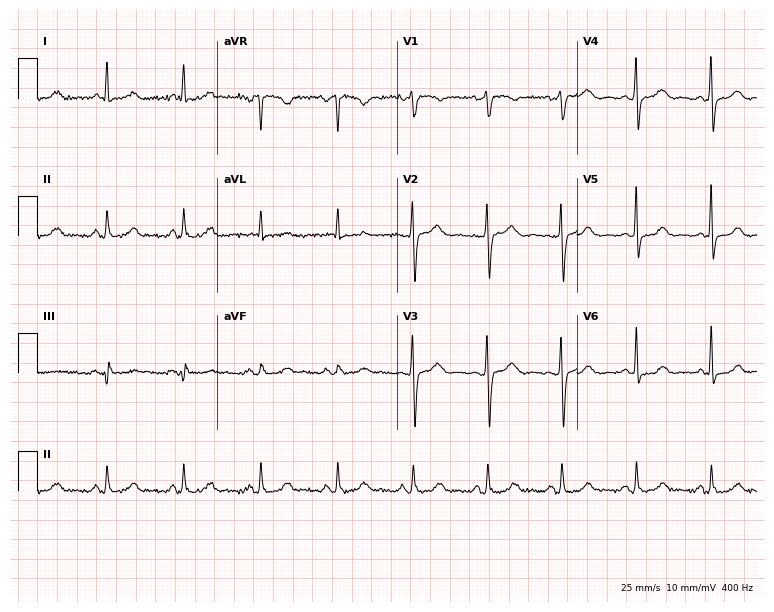
12-lead ECG (7.3-second recording at 400 Hz) from a 52-year-old woman. Labelled as a normal ECG.